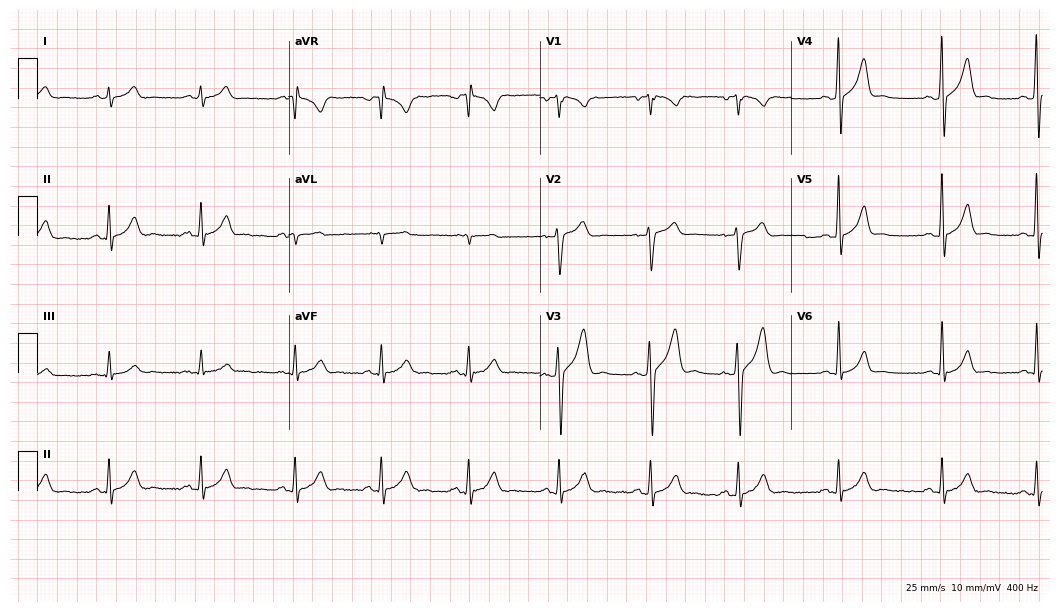
12-lead ECG from a 34-year-old man. Labelled as a normal ECG.